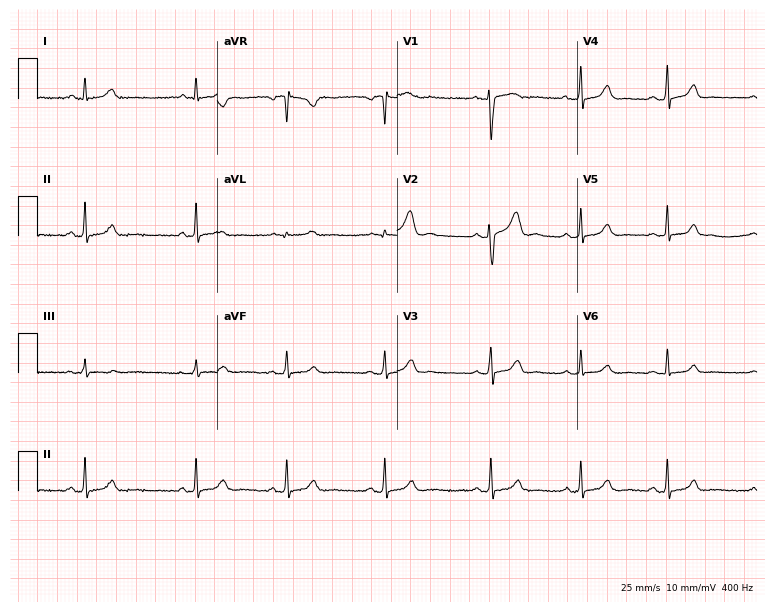
Electrocardiogram (7.3-second recording at 400 Hz), an 18-year-old female. Overall reading on record: normal ECG.